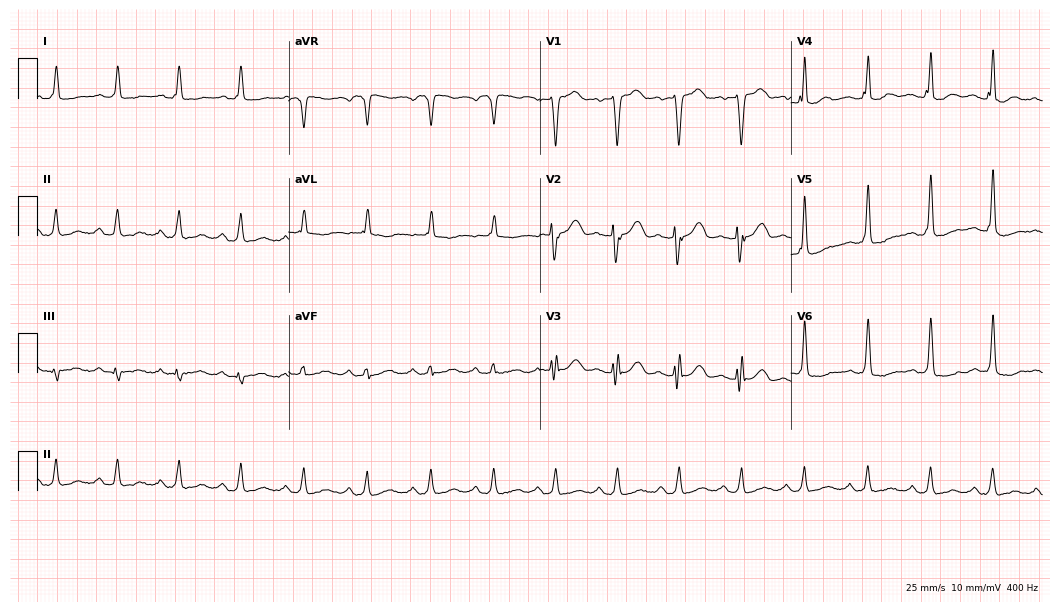
Electrocardiogram (10.2-second recording at 400 Hz), a 60-year-old male. Of the six screened findings (first-degree AV block, right bundle branch block, left bundle branch block, sinus bradycardia, atrial fibrillation, sinus tachycardia), none is recorded.